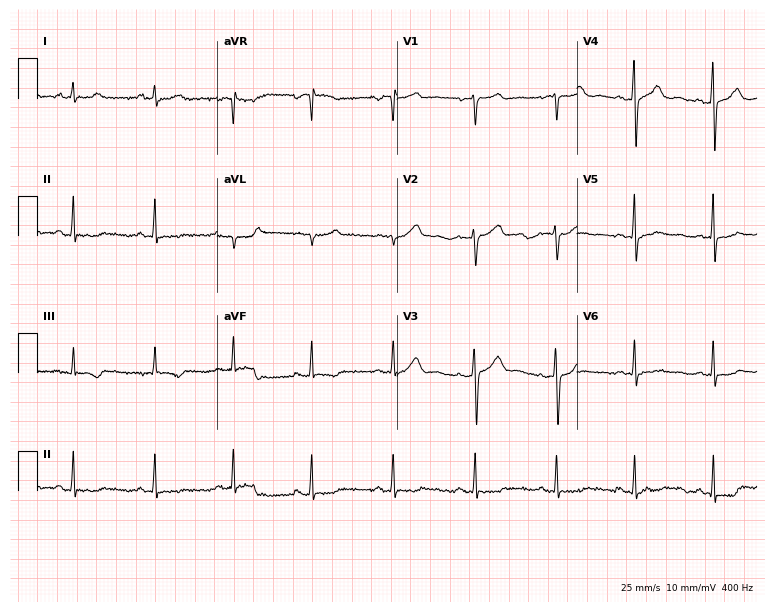
Standard 12-lead ECG recorded from a female patient, 31 years old (7.3-second recording at 400 Hz). None of these six findings is recorded: first-degree AV block, right bundle branch block, left bundle branch block, sinus bradycardia, atrial fibrillation, sinus tachycardia. Only these six findings were labelled.